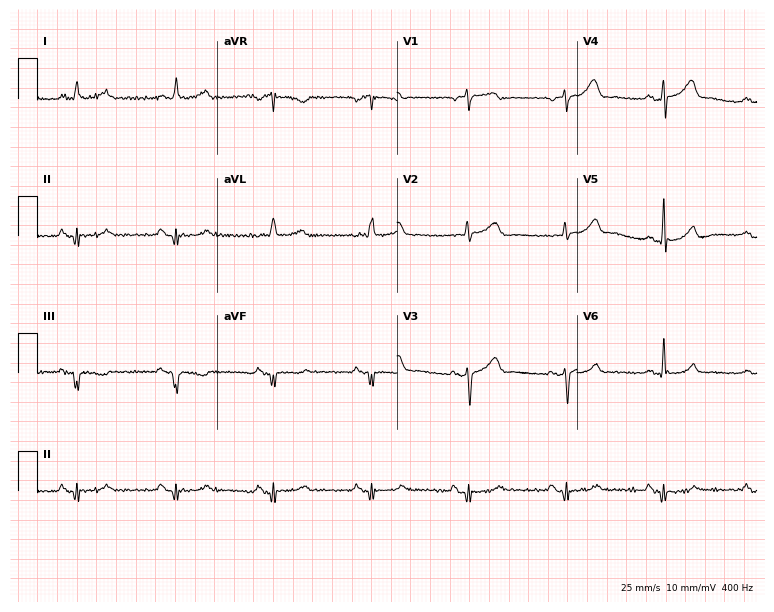
Resting 12-lead electrocardiogram. Patient: a male, 75 years old. None of these six findings is recorded: first-degree AV block, right bundle branch block, left bundle branch block, sinus bradycardia, atrial fibrillation, sinus tachycardia. Findings outside these six are not listed.